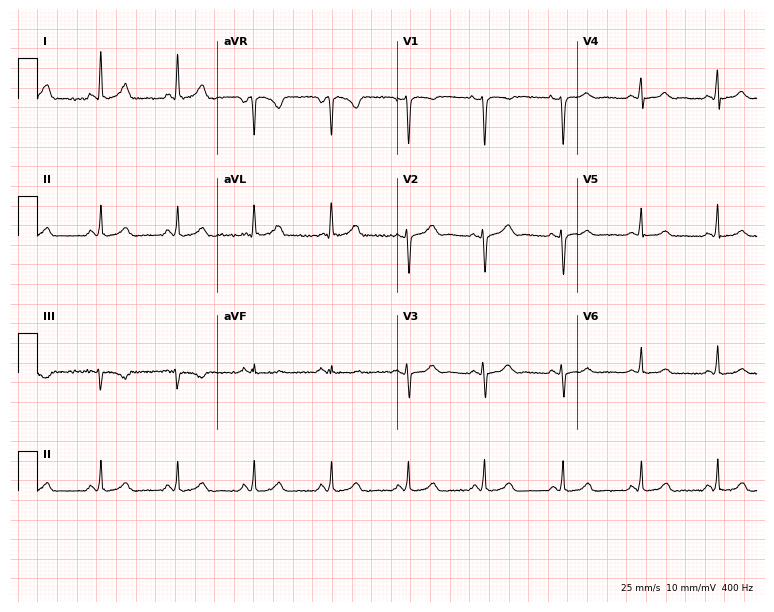
12-lead ECG from a female, 37 years old (7.3-second recording at 400 Hz). Recorded interpretation: within normal limits.